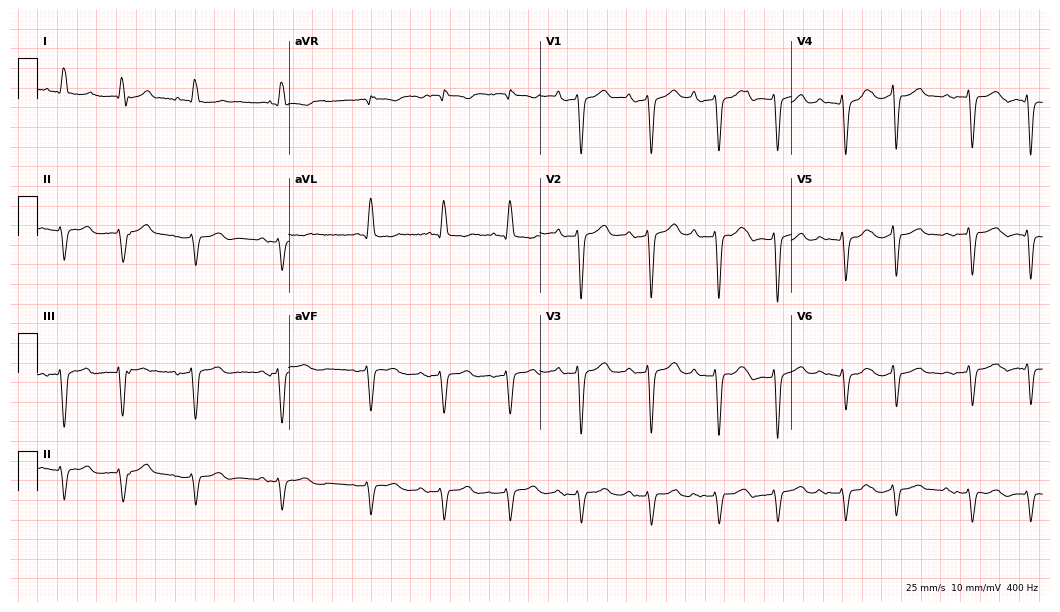
Electrocardiogram, a 79-year-old male. Of the six screened findings (first-degree AV block, right bundle branch block, left bundle branch block, sinus bradycardia, atrial fibrillation, sinus tachycardia), none is recorded. Findings outside these six are not listed.